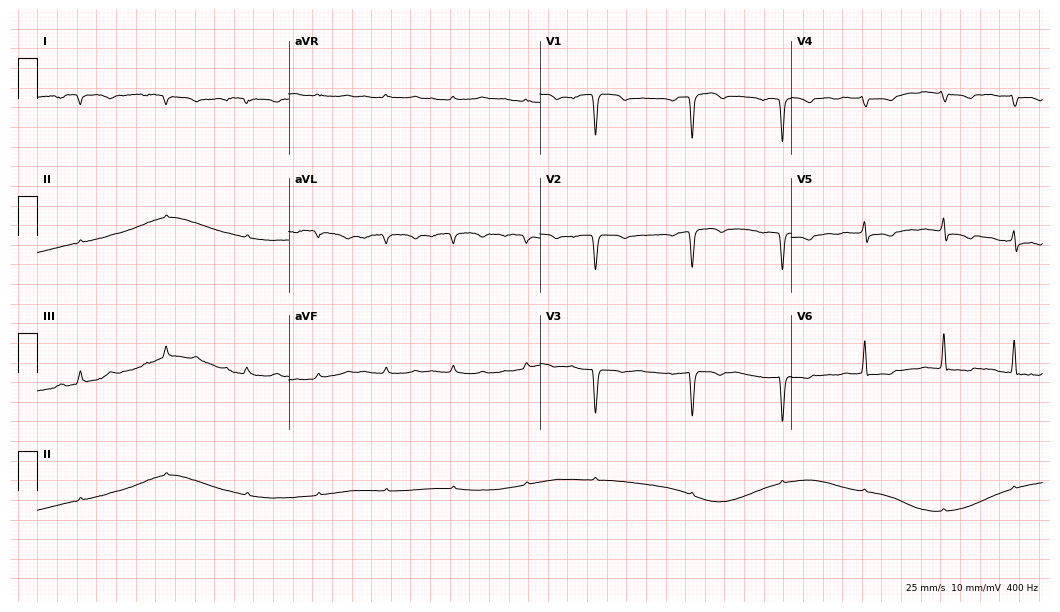
Resting 12-lead electrocardiogram. Patient: a male, 83 years old. None of these six findings is recorded: first-degree AV block, right bundle branch block, left bundle branch block, sinus bradycardia, atrial fibrillation, sinus tachycardia.